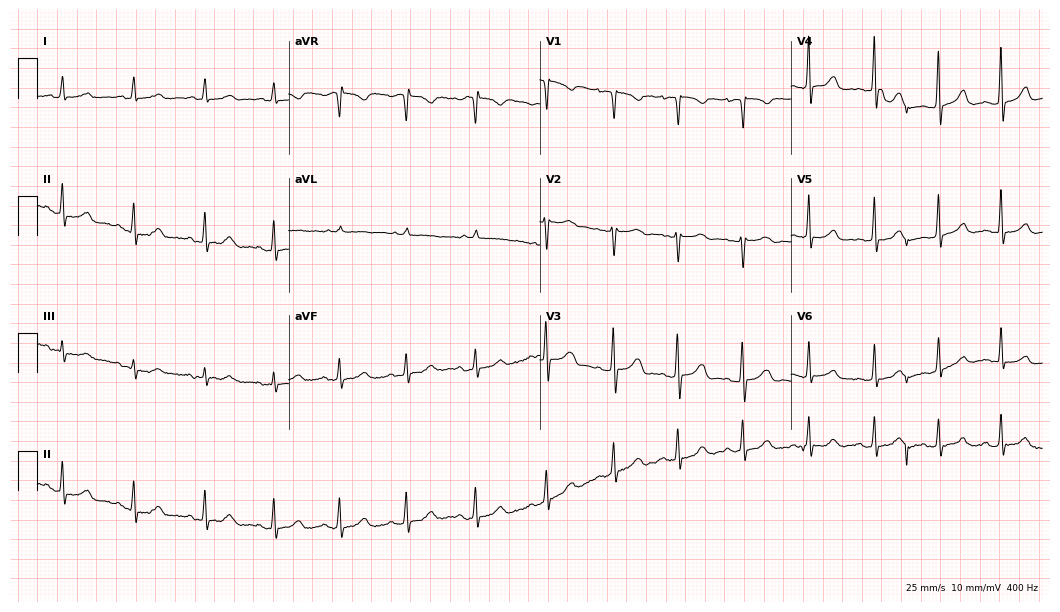
12-lead ECG from a female patient, 19 years old (10.2-second recording at 400 Hz). Recorded interpretation: within normal limits.